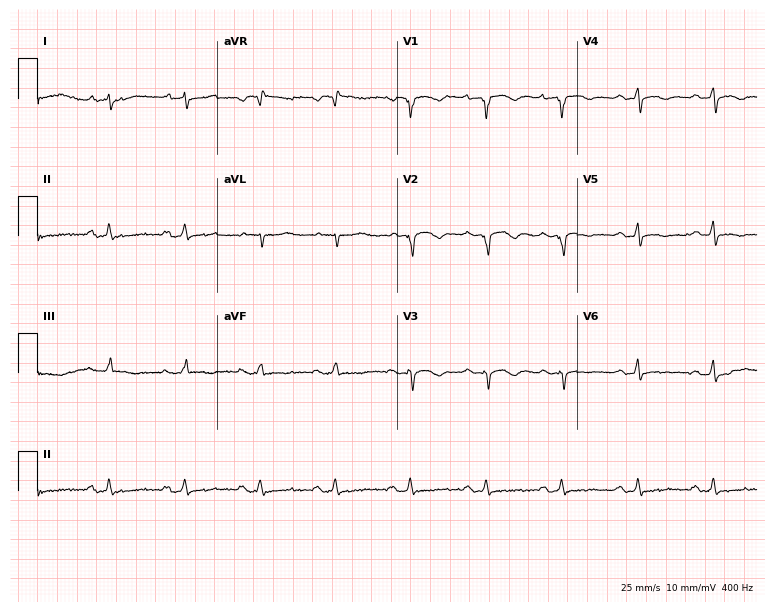
ECG — a 52-year-old man. Screened for six findings — first-degree AV block, right bundle branch block (RBBB), left bundle branch block (LBBB), sinus bradycardia, atrial fibrillation (AF), sinus tachycardia — none is recorded.